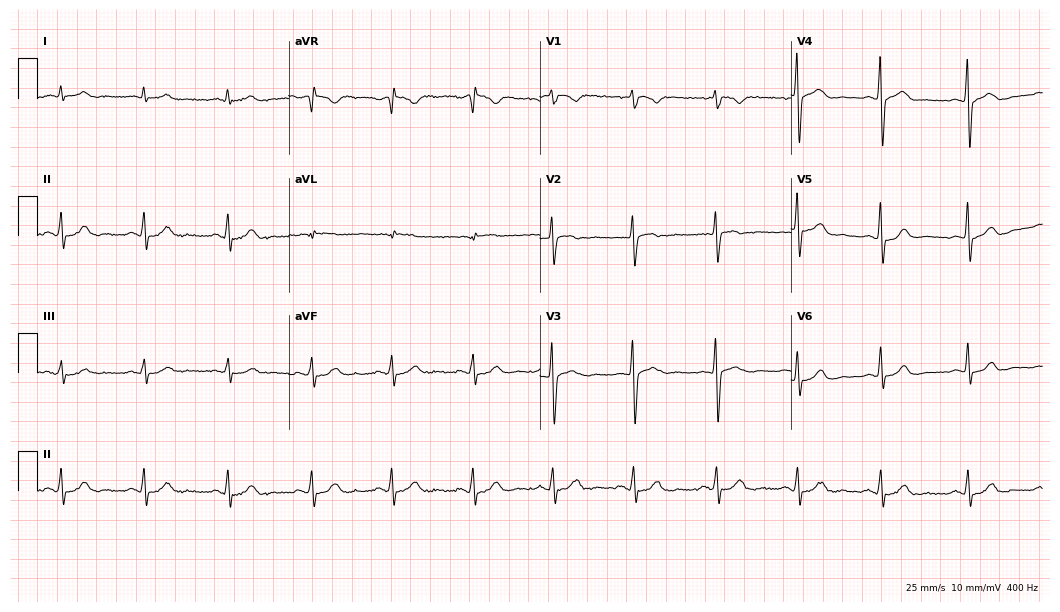
12-lead ECG from a 44-year-old male patient (10.2-second recording at 400 Hz). Recorded interpretation: within normal limits.